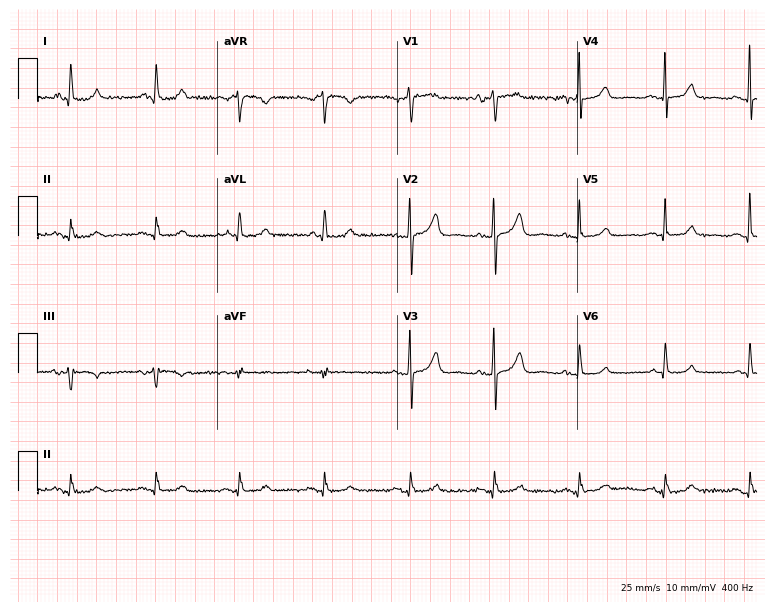
12-lead ECG from a woman, 75 years old. Recorded interpretation: within normal limits.